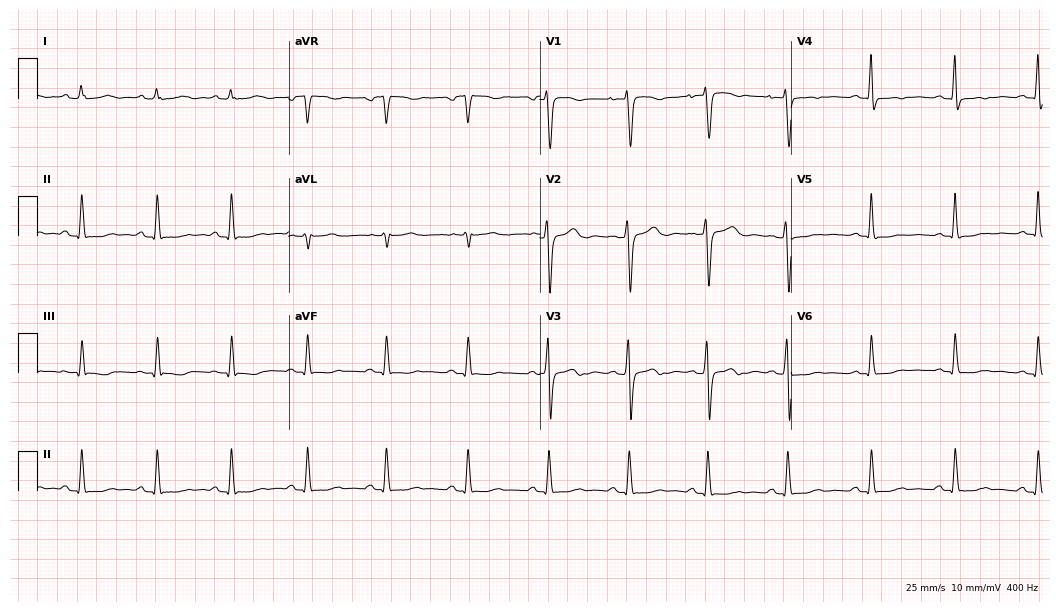
ECG (10.2-second recording at 400 Hz) — a 50-year-old woman. Screened for six findings — first-degree AV block, right bundle branch block, left bundle branch block, sinus bradycardia, atrial fibrillation, sinus tachycardia — none is recorded. Other findings, if any, are not listed.